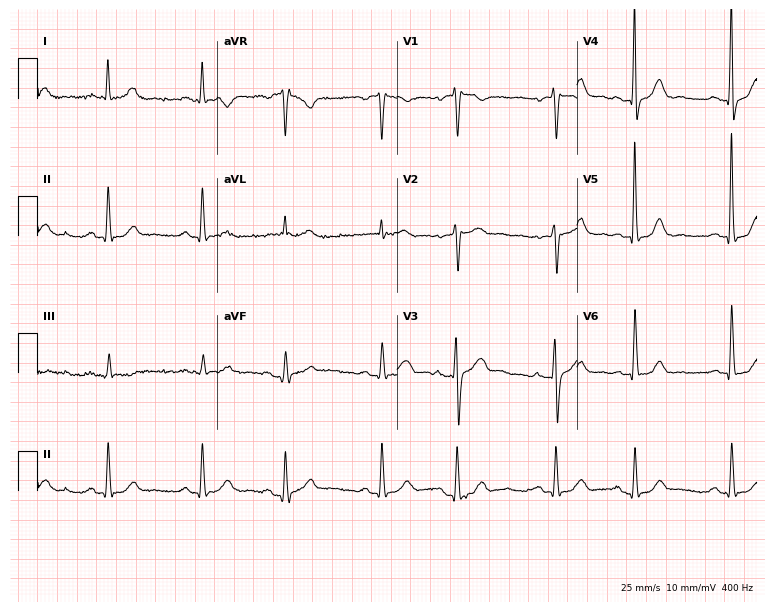
Electrocardiogram, a male patient, 73 years old. Of the six screened findings (first-degree AV block, right bundle branch block, left bundle branch block, sinus bradycardia, atrial fibrillation, sinus tachycardia), none is recorded. Only these six findings were labelled.